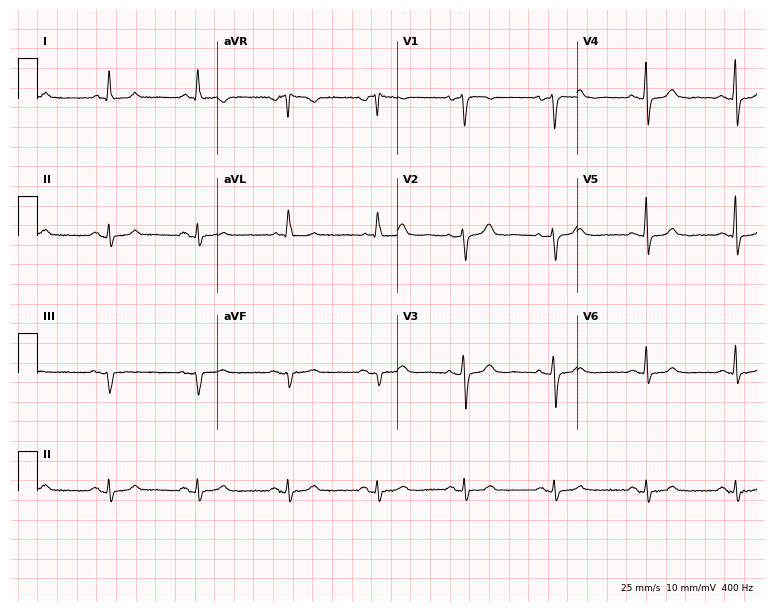
Standard 12-lead ECG recorded from a 66-year-old female patient. Read as a normal ECG.